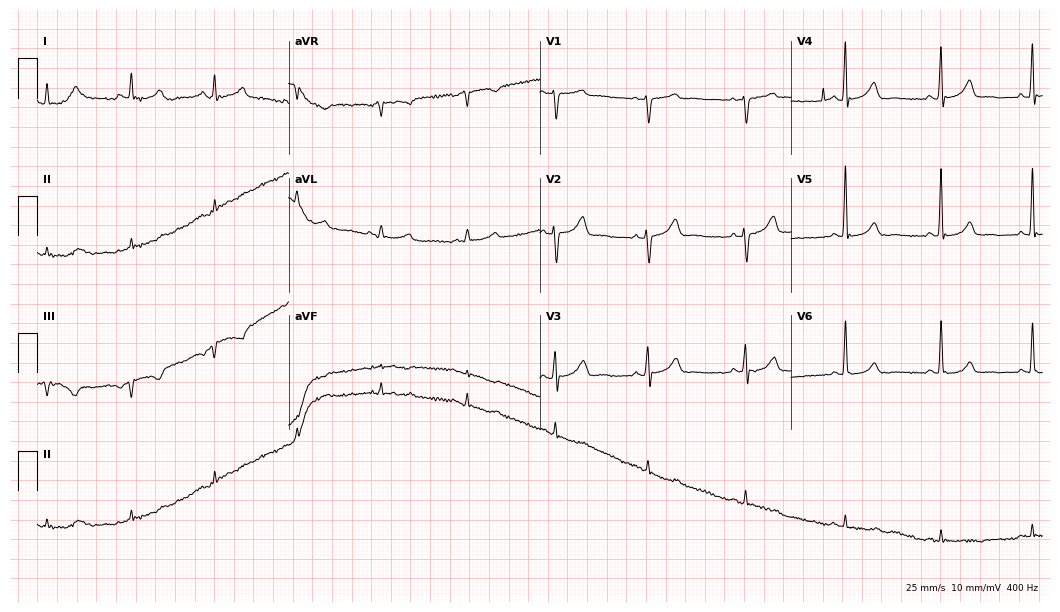
Standard 12-lead ECG recorded from a man, 62 years old. None of these six findings is recorded: first-degree AV block, right bundle branch block, left bundle branch block, sinus bradycardia, atrial fibrillation, sinus tachycardia. Other findings, if any, are not listed.